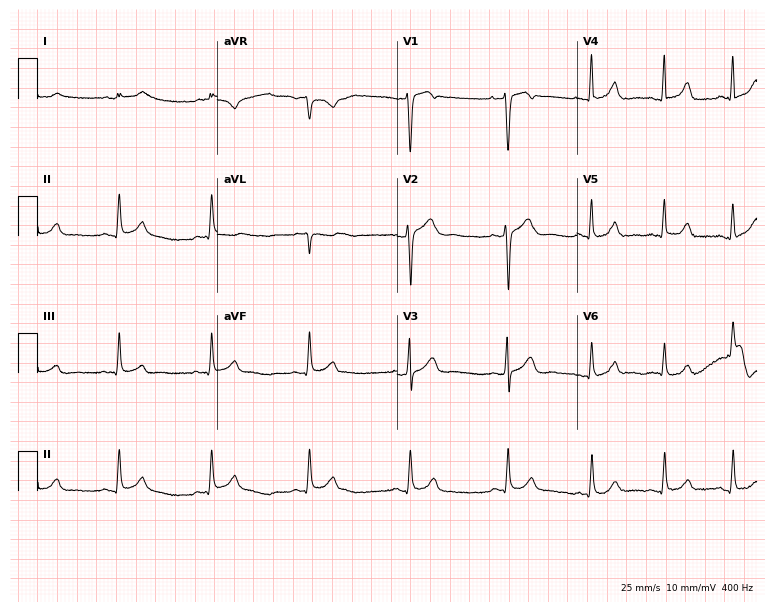
ECG (7.3-second recording at 400 Hz) — a 31-year-old female patient. Labelled as a normal ECG.